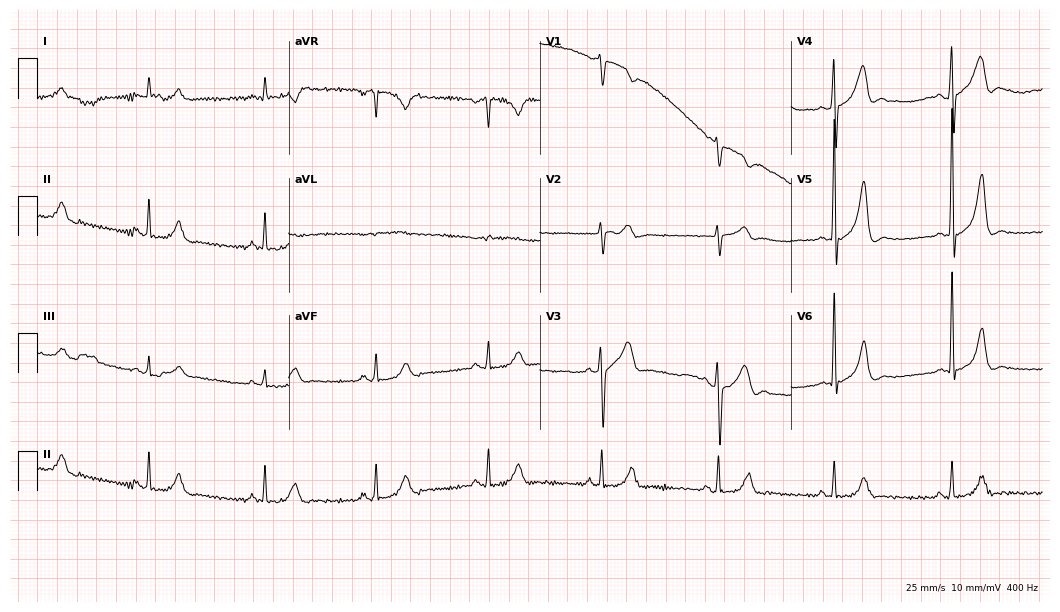
Resting 12-lead electrocardiogram. Patient: a male, 59 years old. Read as a normal ECG.